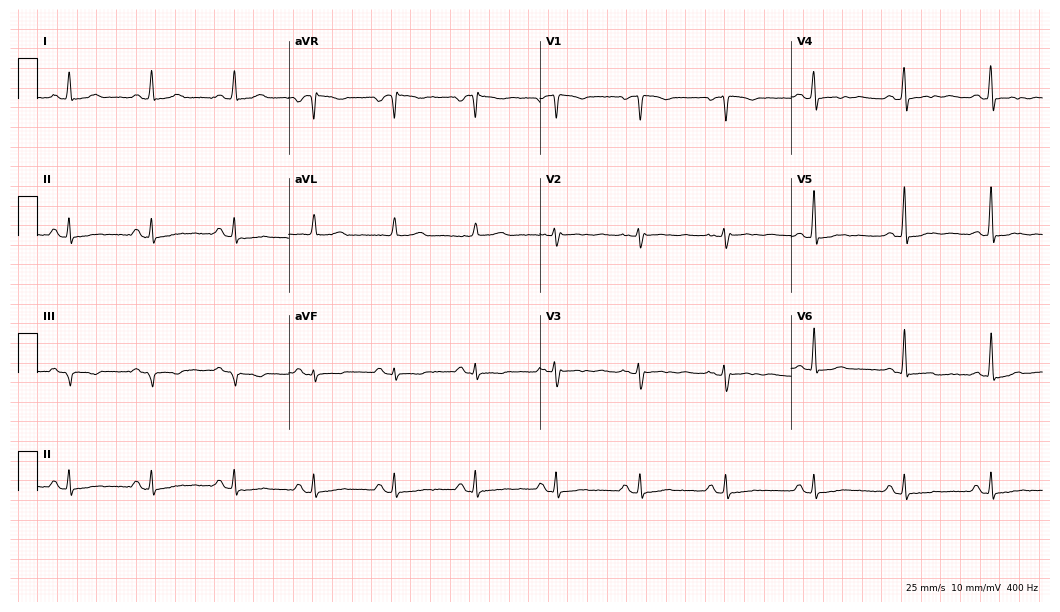
ECG (10.2-second recording at 400 Hz) — a 51-year-old female. Screened for six findings — first-degree AV block, right bundle branch block, left bundle branch block, sinus bradycardia, atrial fibrillation, sinus tachycardia — none is recorded. Only these six findings were labelled.